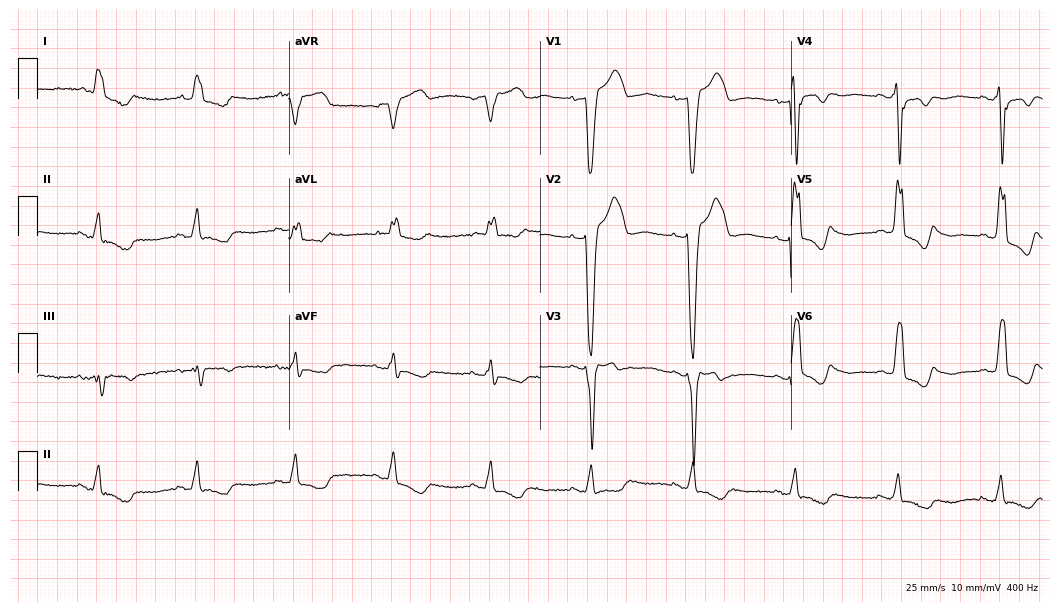
Standard 12-lead ECG recorded from a 78-year-old man (10.2-second recording at 400 Hz). The tracing shows left bundle branch block.